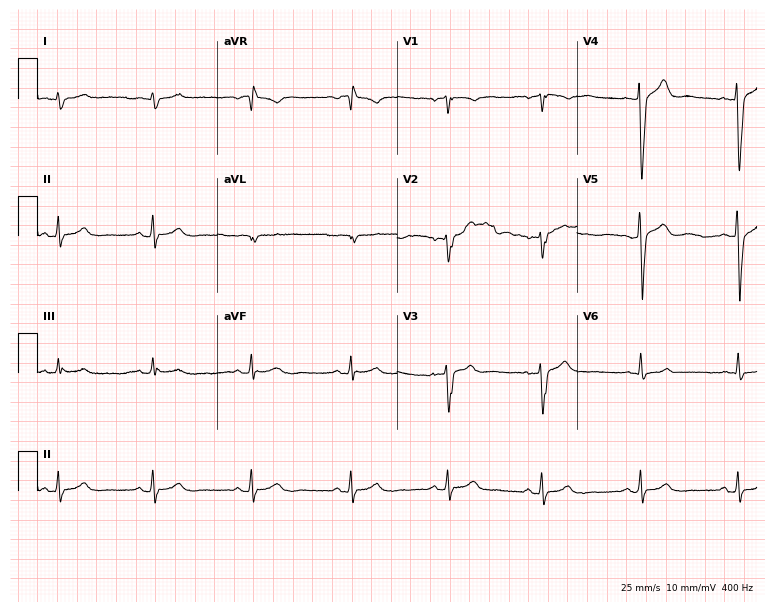
Electrocardiogram, a 37-year-old male. Of the six screened findings (first-degree AV block, right bundle branch block, left bundle branch block, sinus bradycardia, atrial fibrillation, sinus tachycardia), none is recorded. Other findings, if any, are not listed.